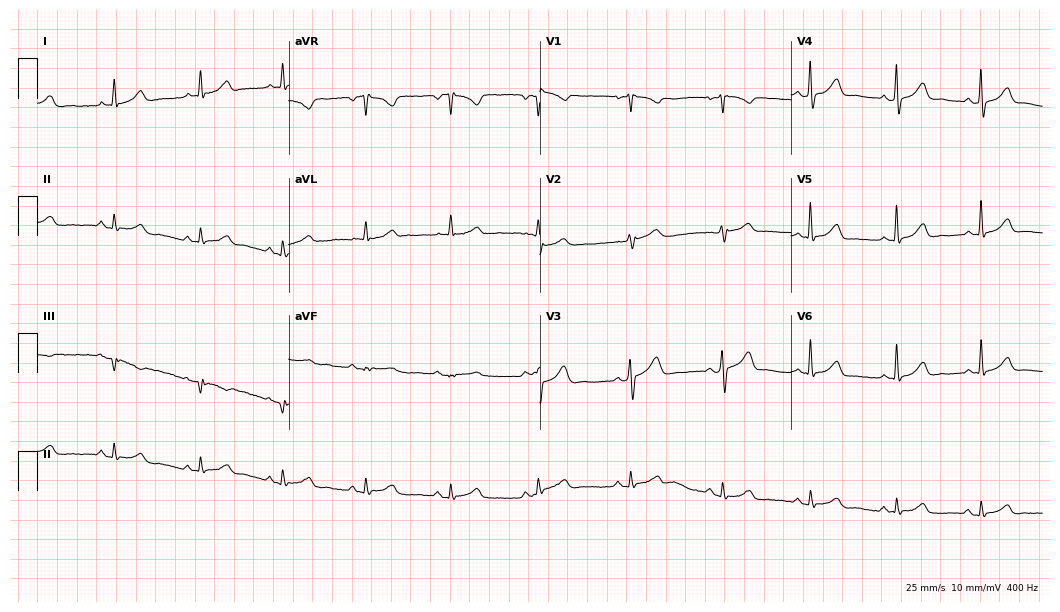
12-lead ECG from a 73-year-old female. Recorded interpretation: within normal limits.